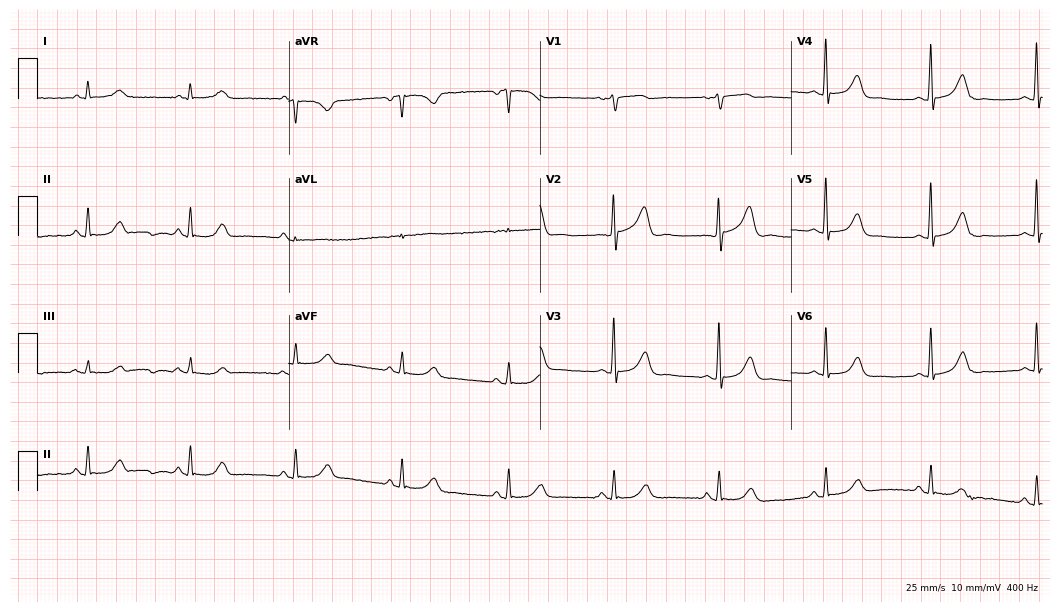
ECG (10.2-second recording at 400 Hz) — a female, 78 years old. Labelled as a normal ECG.